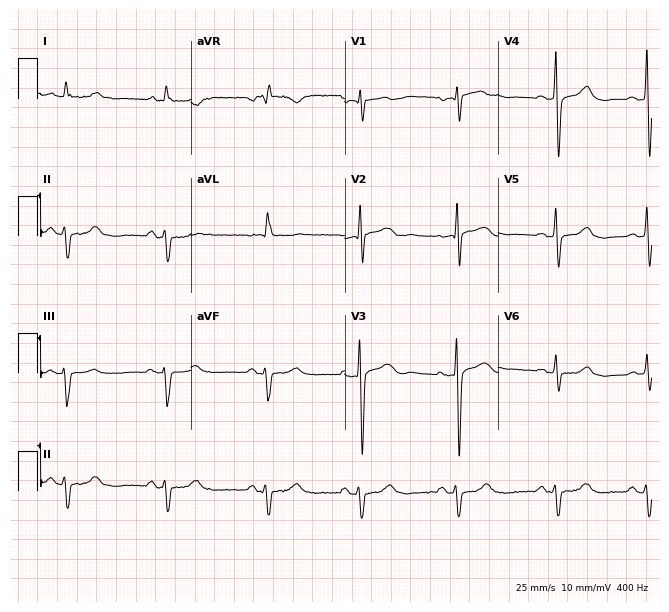
Electrocardiogram, a male, 77 years old. Of the six screened findings (first-degree AV block, right bundle branch block (RBBB), left bundle branch block (LBBB), sinus bradycardia, atrial fibrillation (AF), sinus tachycardia), none is recorded.